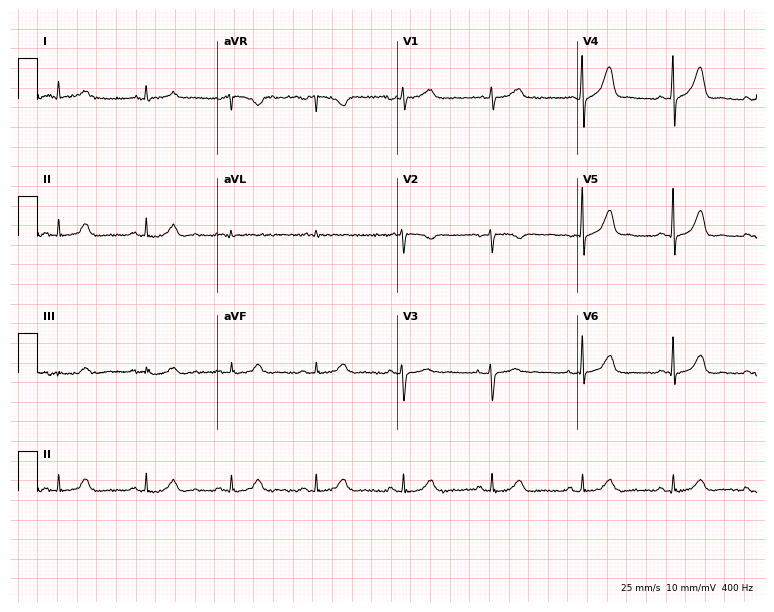
ECG — a female patient, 51 years old. Labelled as a normal ECG.